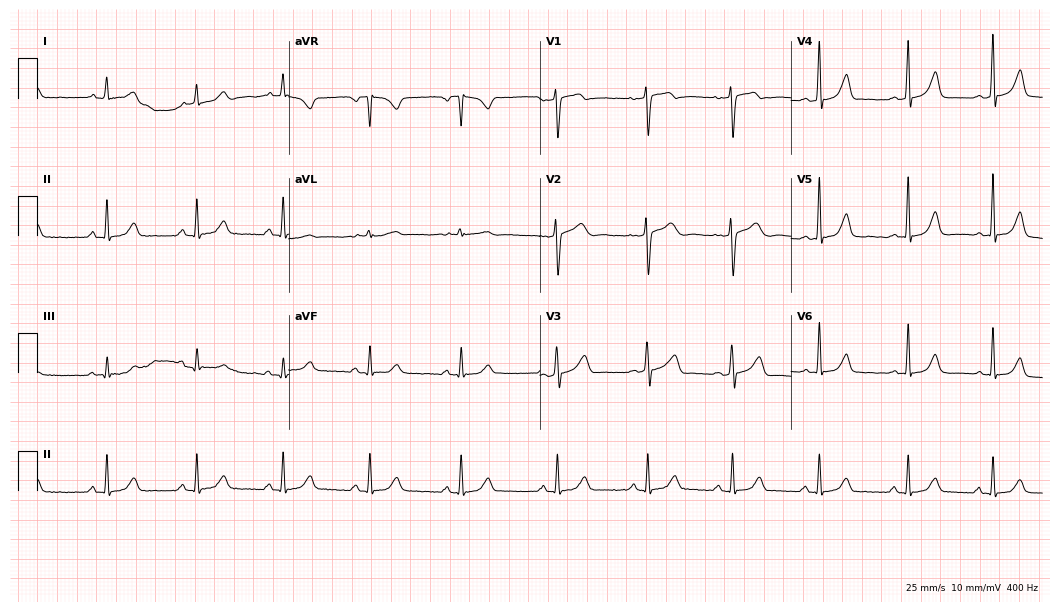
12-lead ECG (10.2-second recording at 400 Hz) from a 33-year-old female. Labelled as a normal ECG.